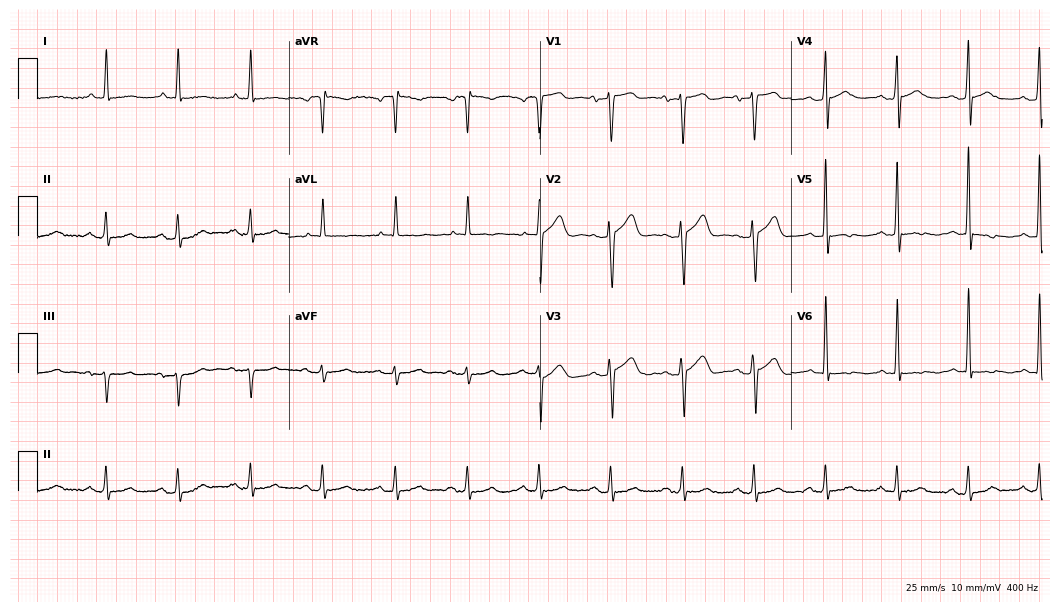
Standard 12-lead ECG recorded from a male patient, 70 years old (10.2-second recording at 400 Hz). None of these six findings is recorded: first-degree AV block, right bundle branch block (RBBB), left bundle branch block (LBBB), sinus bradycardia, atrial fibrillation (AF), sinus tachycardia. Other findings, if any, are not listed.